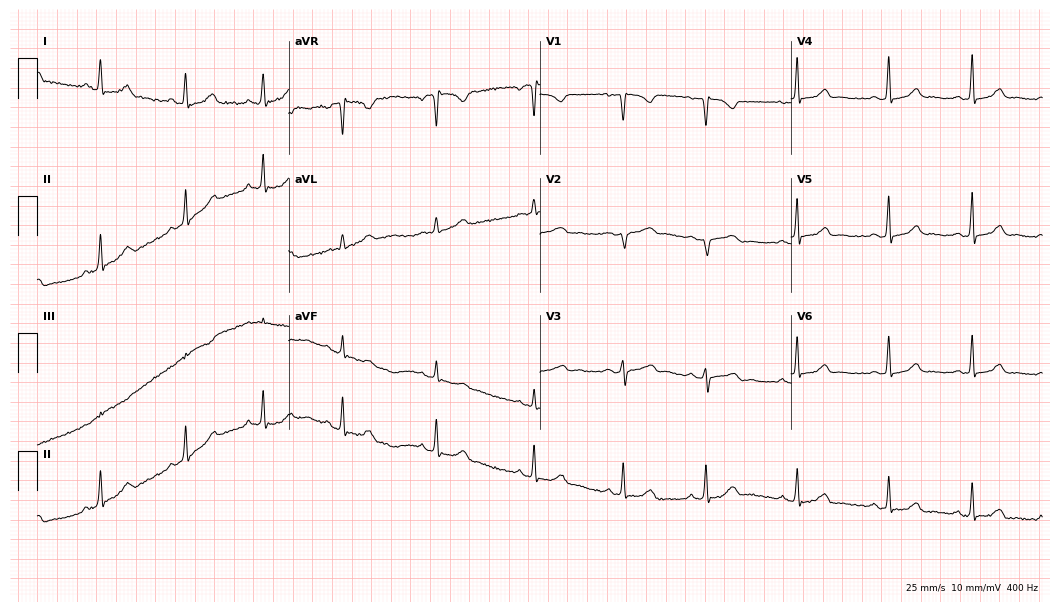
12-lead ECG from a female patient, 25 years old. Recorded interpretation: within normal limits.